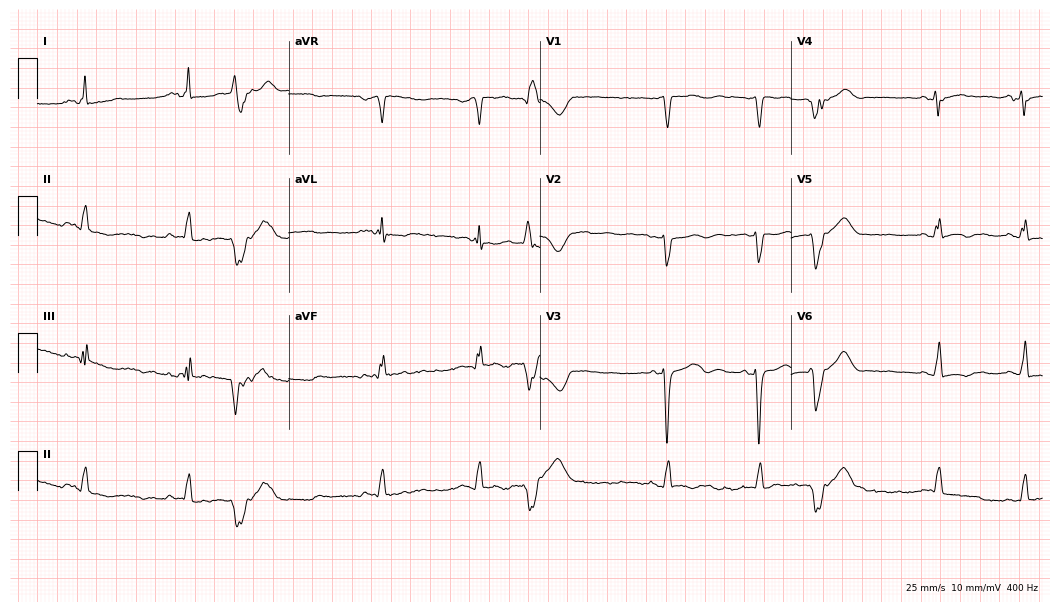
Resting 12-lead electrocardiogram (10.2-second recording at 400 Hz). Patient: a woman, 62 years old. None of these six findings is recorded: first-degree AV block, right bundle branch block, left bundle branch block, sinus bradycardia, atrial fibrillation, sinus tachycardia.